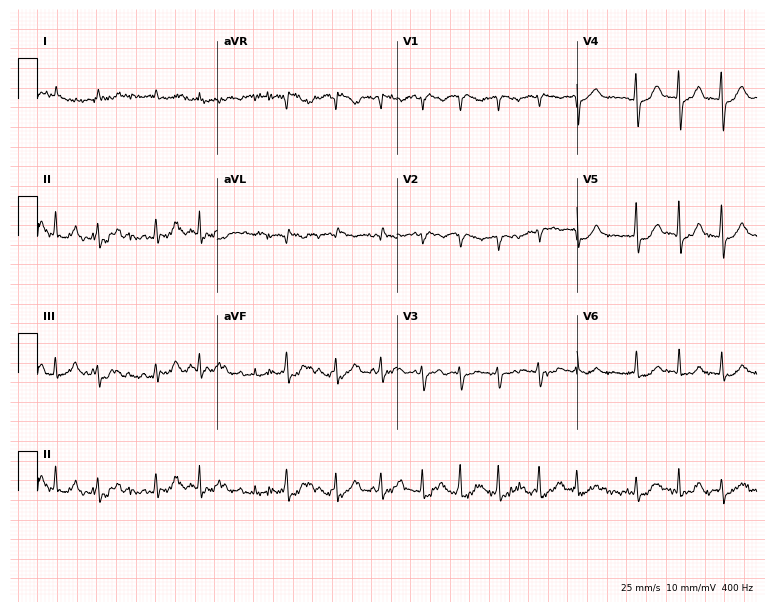
12-lead ECG from an 81-year-old male patient. Shows atrial fibrillation (AF).